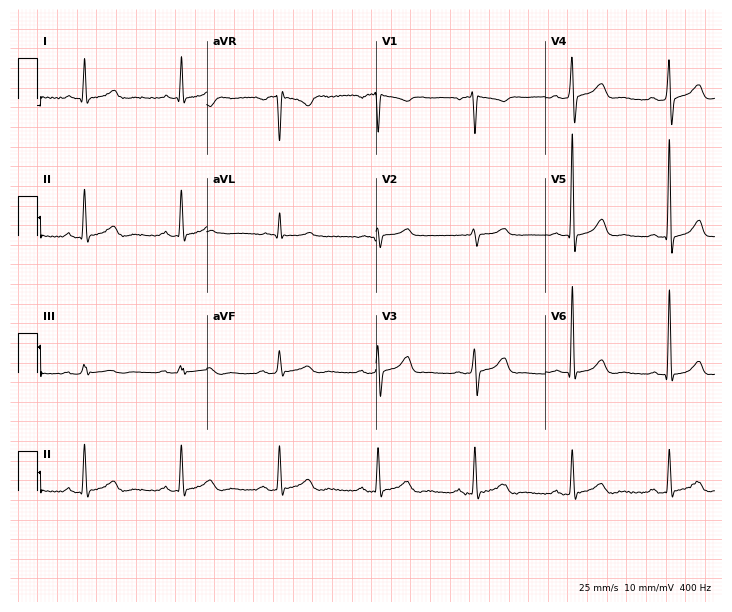
Electrocardiogram, a male patient, 70 years old. Overall reading on record: normal ECG.